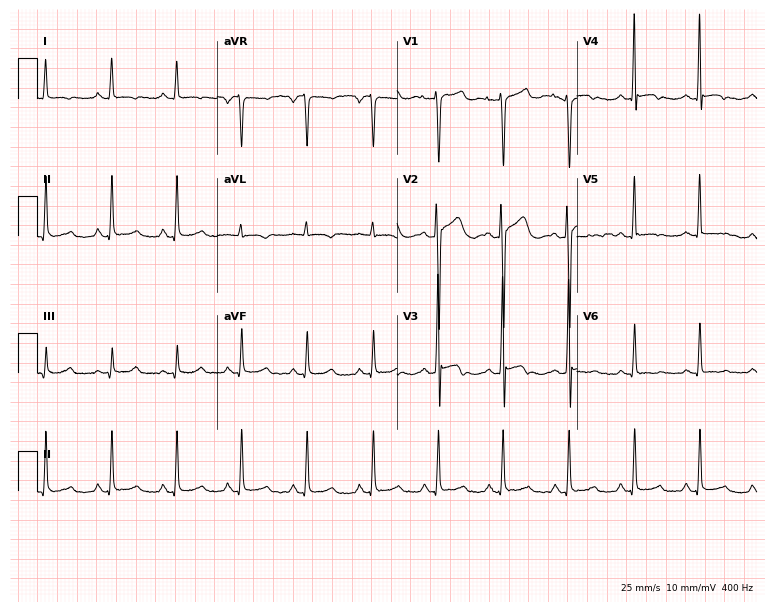
ECG — a female patient, 33 years old. Screened for six findings — first-degree AV block, right bundle branch block, left bundle branch block, sinus bradycardia, atrial fibrillation, sinus tachycardia — none is recorded. Other findings, if any, are not listed.